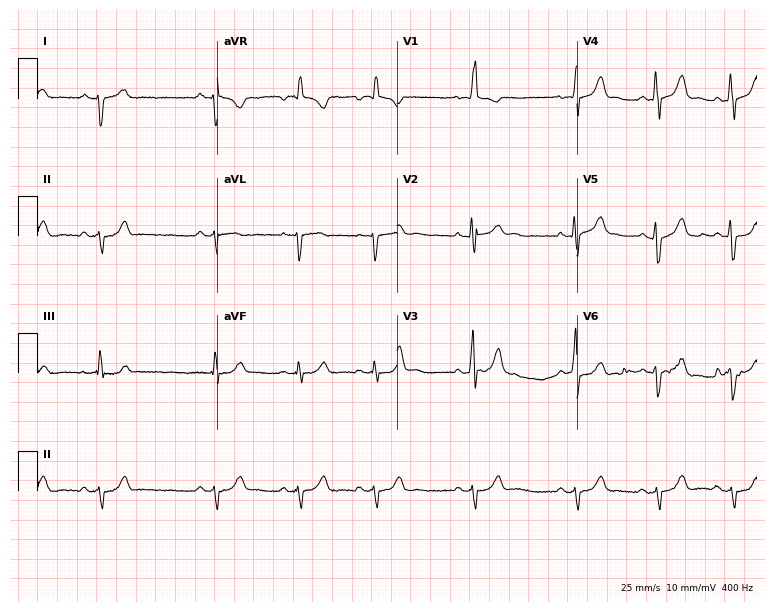
12-lead ECG from a 22-year-old woman. No first-degree AV block, right bundle branch block, left bundle branch block, sinus bradycardia, atrial fibrillation or sinus tachycardia recorded for this tracing.